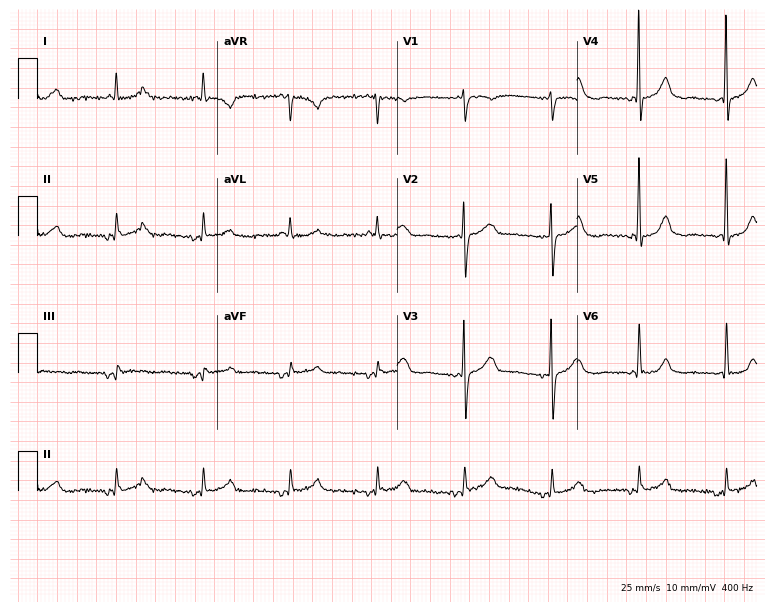
Standard 12-lead ECG recorded from a female, 78 years old (7.3-second recording at 400 Hz). Read as a normal ECG.